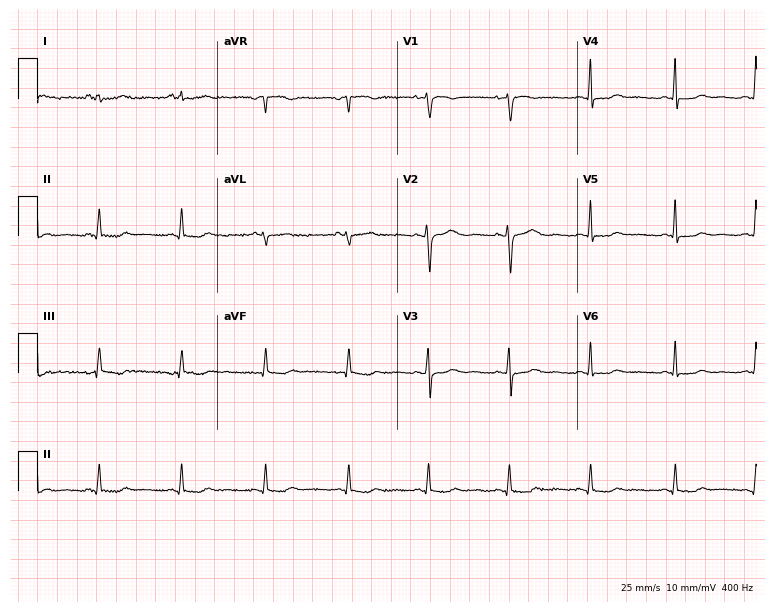
12-lead ECG from a female, 41 years old. No first-degree AV block, right bundle branch block, left bundle branch block, sinus bradycardia, atrial fibrillation or sinus tachycardia recorded for this tracing.